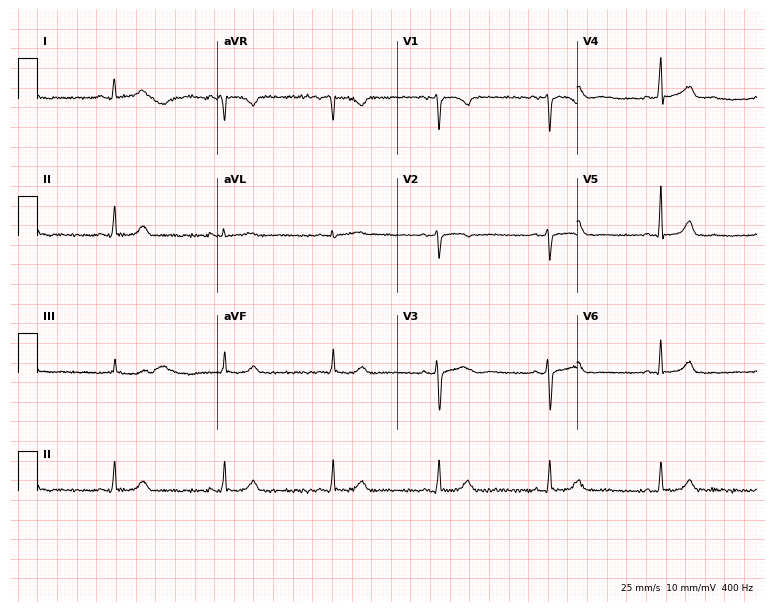
Electrocardiogram, a female patient, 41 years old. Overall reading on record: normal ECG.